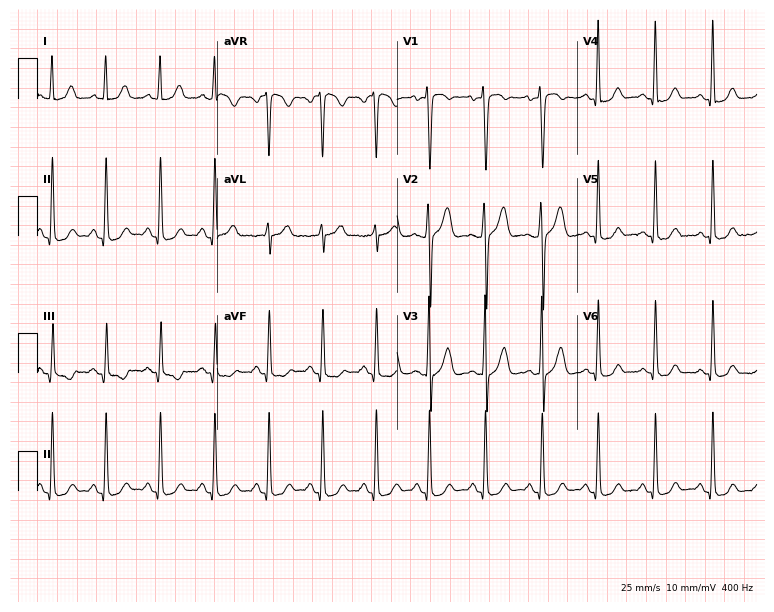
12-lead ECG from a woman, 23 years old (7.3-second recording at 400 Hz). No first-degree AV block, right bundle branch block, left bundle branch block, sinus bradycardia, atrial fibrillation or sinus tachycardia recorded for this tracing.